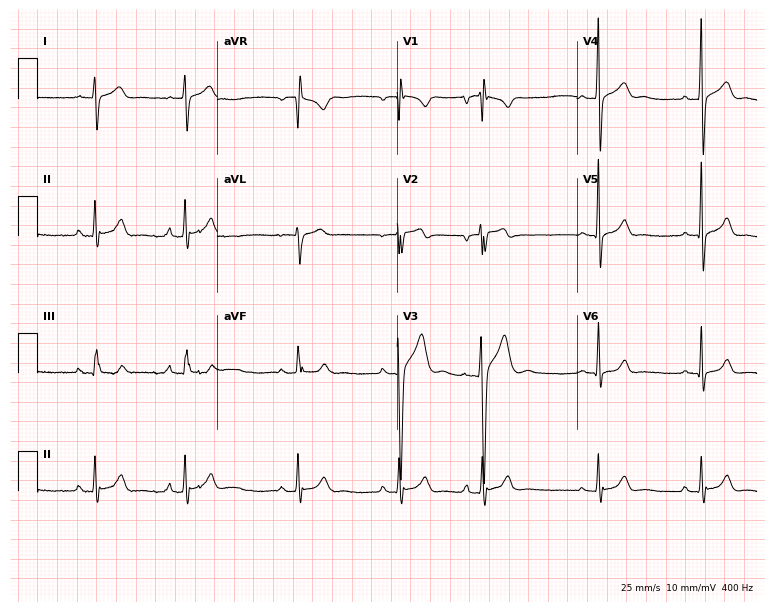
ECG (7.3-second recording at 400 Hz) — a 17-year-old man. Screened for six findings — first-degree AV block, right bundle branch block (RBBB), left bundle branch block (LBBB), sinus bradycardia, atrial fibrillation (AF), sinus tachycardia — none is recorded. Only these six findings were labelled.